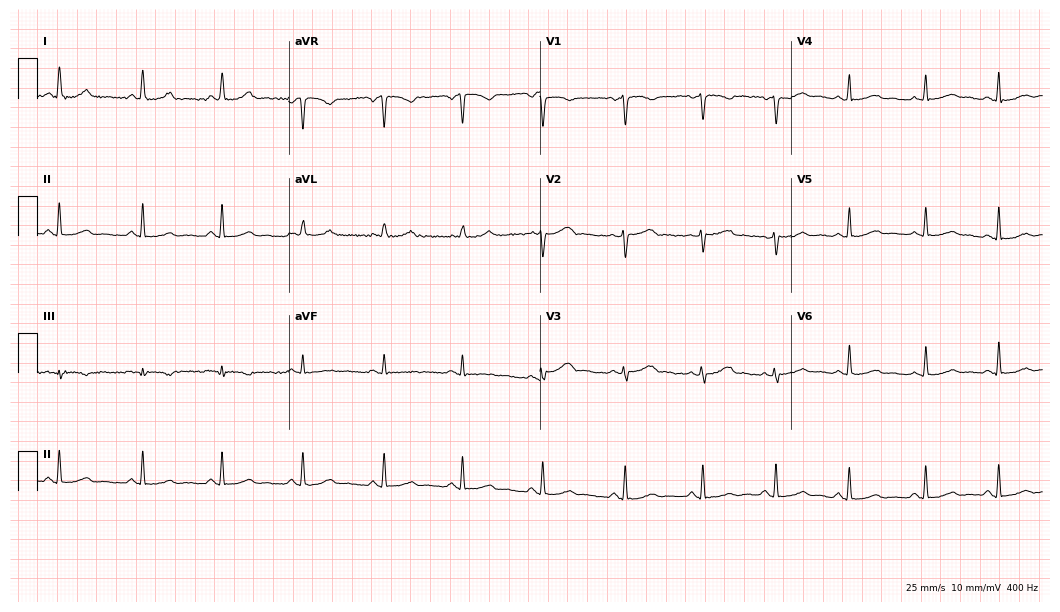
Resting 12-lead electrocardiogram (10.2-second recording at 400 Hz). Patient: a 38-year-old woman. None of these six findings is recorded: first-degree AV block, right bundle branch block, left bundle branch block, sinus bradycardia, atrial fibrillation, sinus tachycardia.